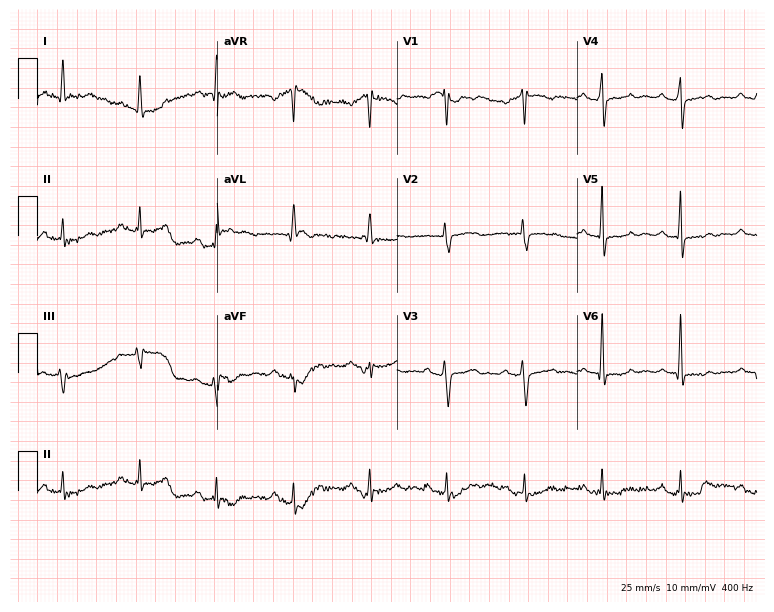
ECG (7.3-second recording at 400 Hz) — a male, 79 years old. Screened for six findings — first-degree AV block, right bundle branch block, left bundle branch block, sinus bradycardia, atrial fibrillation, sinus tachycardia — none is recorded. Other findings, if any, are not listed.